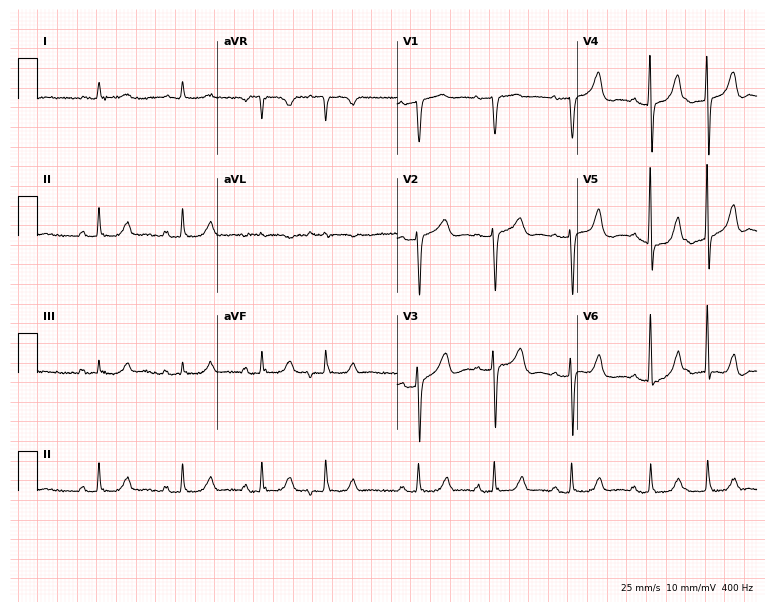
Resting 12-lead electrocardiogram (7.3-second recording at 400 Hz). Patient: a 70-year-old female. Read as a normal ECG.